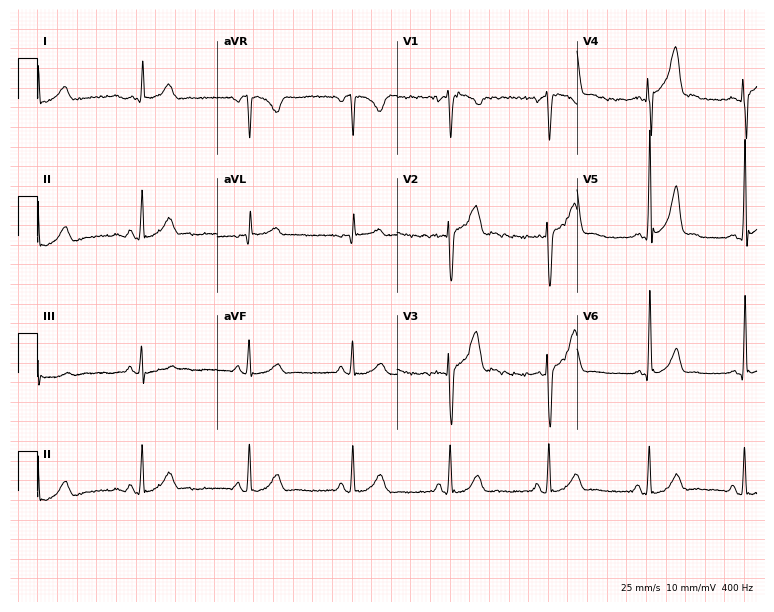
Standard 12-lead ECG recorded from a 22-year-old male patient (7.3-second recording at 400 Hz). Read as a normal ECG.